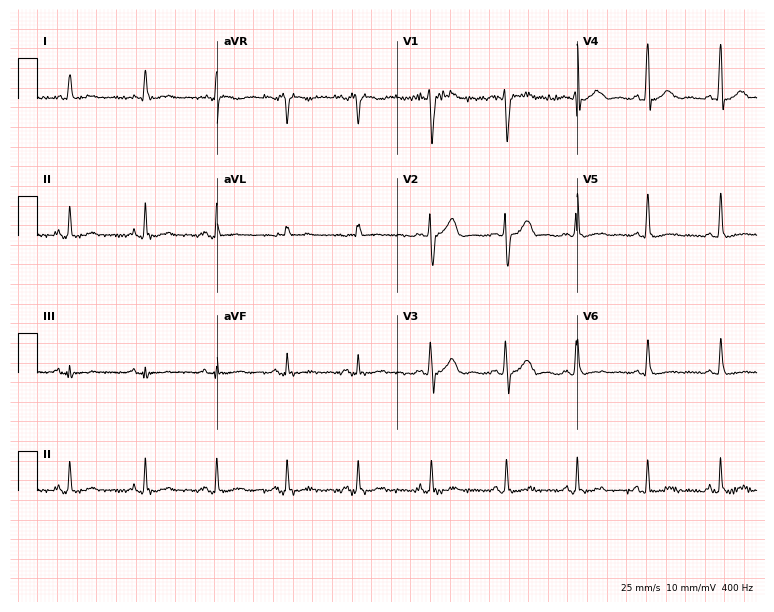
Standard 12-lead ECG recorded from a man, 47 years old (7.3-second recording at 400 Hz). None of these six findings is recorded: first-degree AV block, right bundle branch block (RBBB), left bundle branch block (LBBB), sinus bradycardia, atrial fibrillation (AF), sinus tachycardia. Only these six findings were labelled.